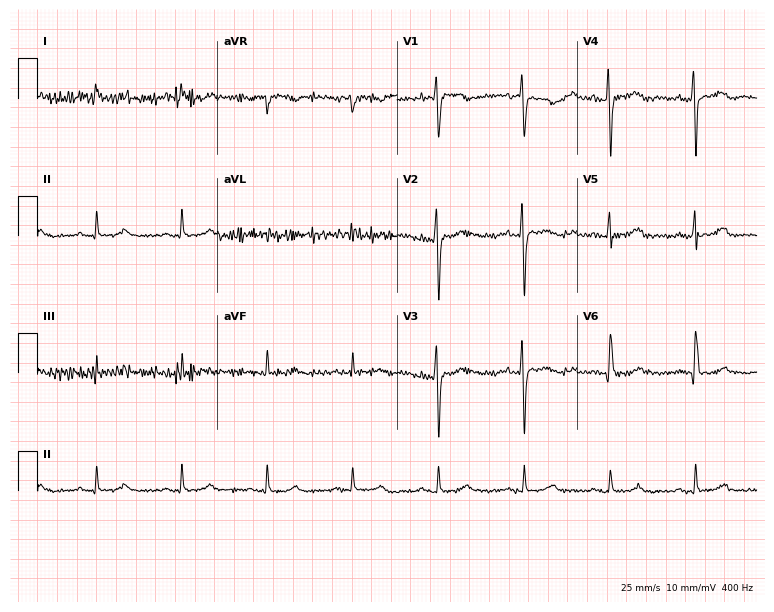
Standard 12-lead ECG recorded from a woman, 75 years old. None of these six findings is recorded: first-degree AV block, right bundle branch block (RBBB), left bundle branch block (LBBB), sinus bradycardia, atrial fibrillation (AF), sinus tachycardia. Only these six findings were labelled.